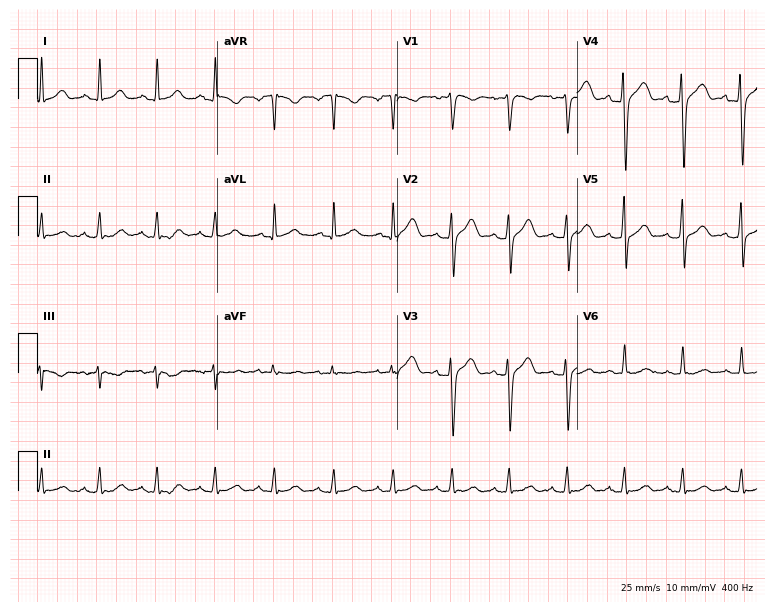
ECG (7.3-second recording at 400 Hz) — a man, 47 years old. Findings include sinus tachycardia (a sinus rate of 100 beats per minute or more).